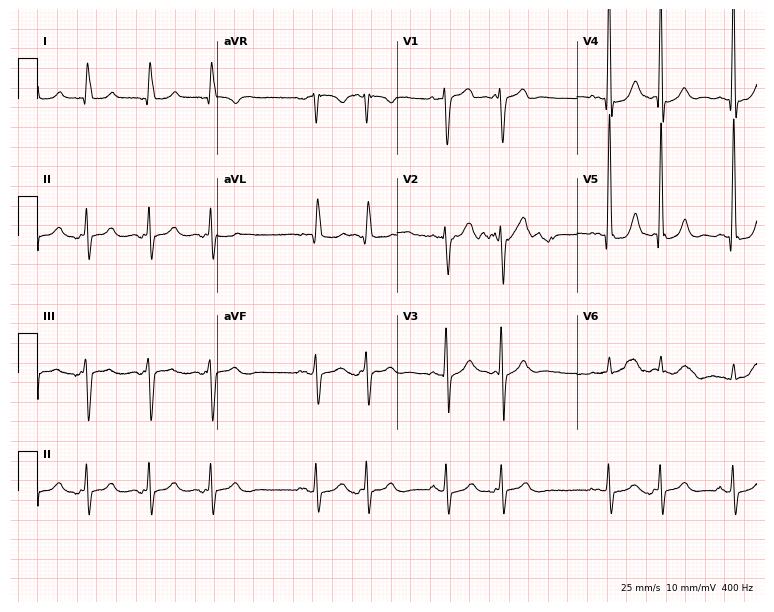
ECG (7.3-second recording at 400 Hz) — an 82-year-old male patient. Screened for six findings — first-degree AV block, right bundle branch block, left bundle branch block, sinus bradycardia, atrial fibrillation, sinus tachycardia — none is recorded.